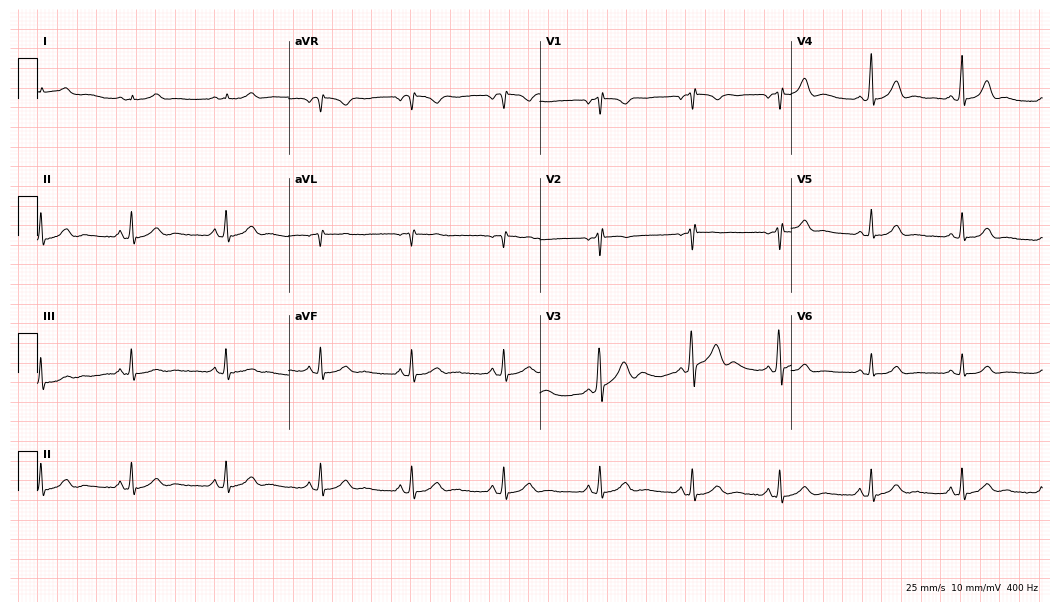
Electrocardiogram (10.2-second recording at 400 Hz), a female, 25 years old. Of the six screened findings (first-degree AV block, right bundle branch block, left bundle branch block, sinus bradycardia, atrial fibrillation, sinus tachycardia), none is recorded.